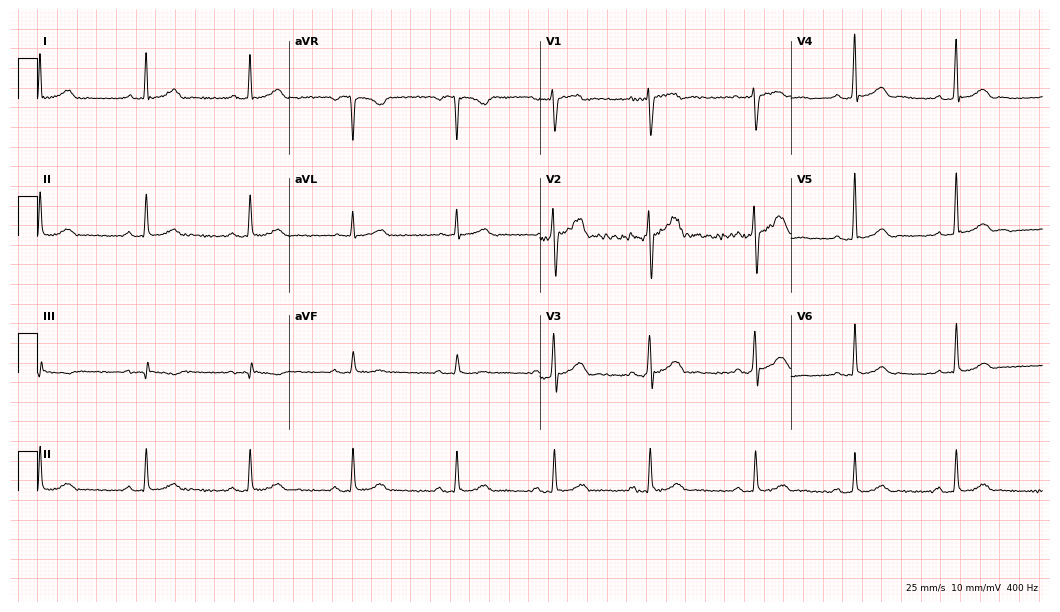
Standard 12-lead ECG recorded from a 53-year-old male patient (10.2-second recording at 400 Hz). Read as a normal ECG.